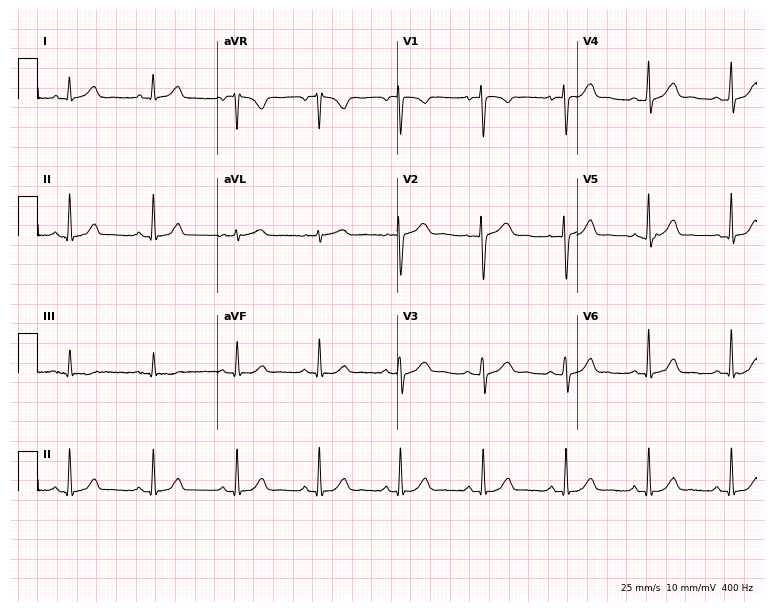
Standard 12-lead ECG recorded from a woman, 32 years old. None of these six findings is recorded: first-degree AV block, right bundle branch block (RBBB), left bundle branch block (LBBB), sinus bradycardia, atrial fibrillation (AF), sinus tachycardia. Findings outside these six are not listed.